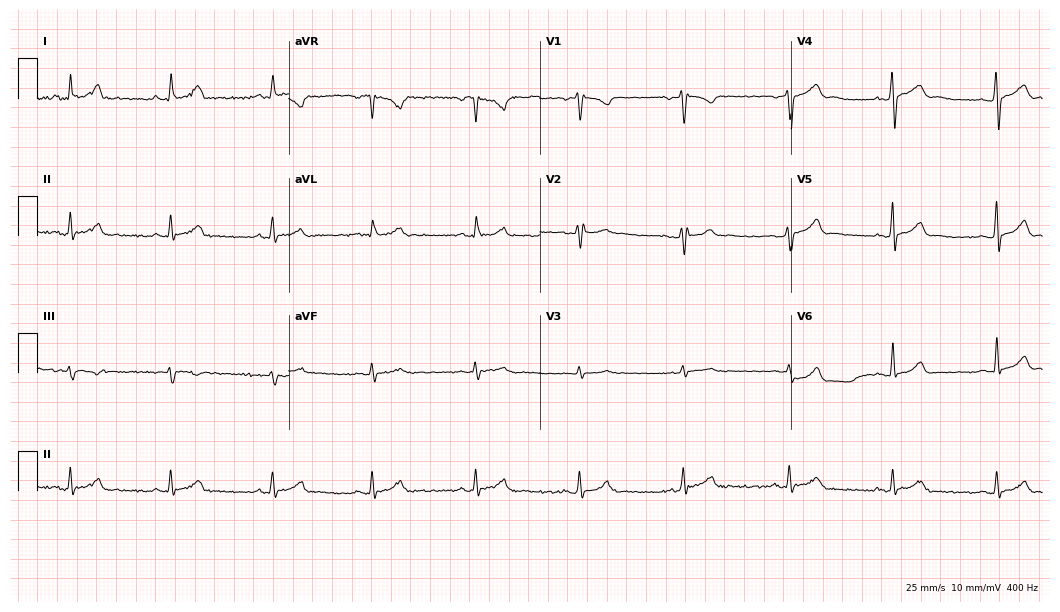
ECG — a 29-year-old male. Labelled as a normal ECG.